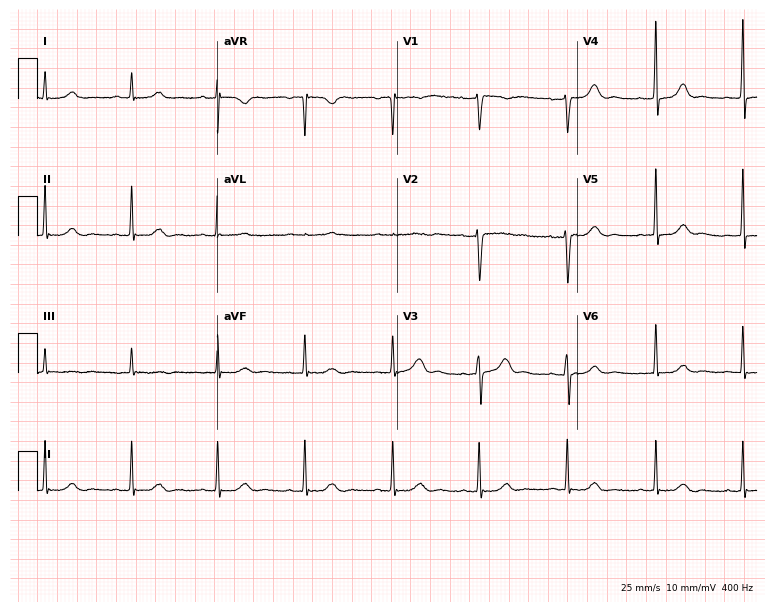
ECG — a 61-year-old female. Screened for six findings — first-degree AV block, right bundle branch block (RBBB), left bundle branch block (LBBB), sinus bradycardia, atrial fibrillation (AF), sinus tachycardia — none is recorded.